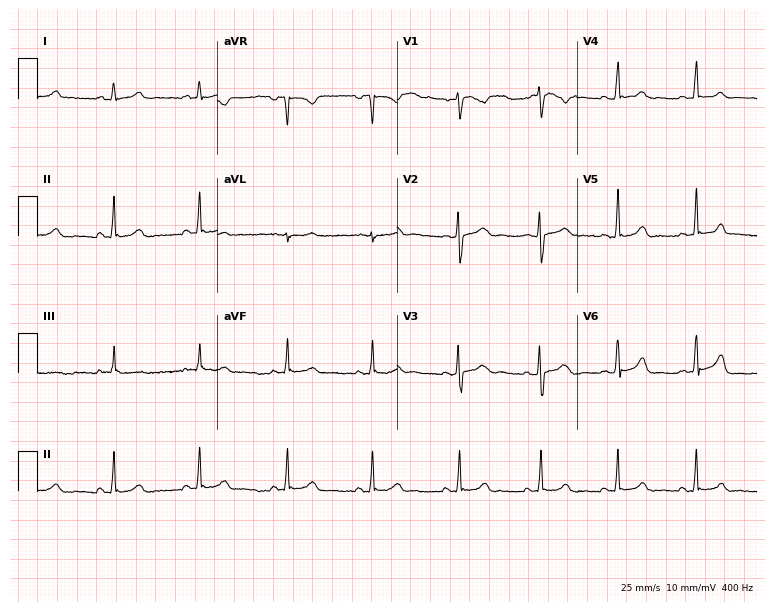
ECG (7.3-second recording at 400 Hz) — a 23-year-old female. Labelled as a normal ECG.